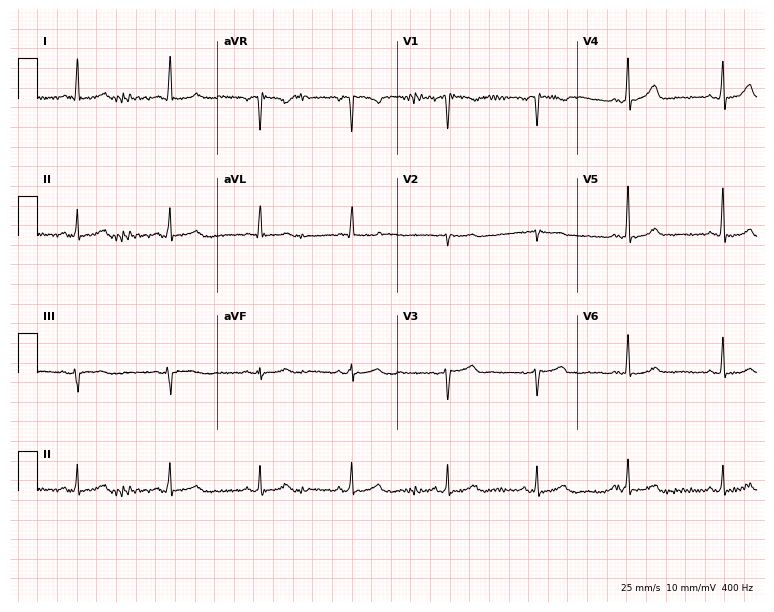
Standard 12-lead ECG recorded from a 63-year-old female patient (7.3-second recording at 400 Hz). None of these six findings is recorded: first-degree AV block, right bundle branch block (RBBB), left bundle branch block (LBBB), sinus bradycardia, atrial fibrillation (AF), sinus tachycardia. Other findings, if any, are not listed.